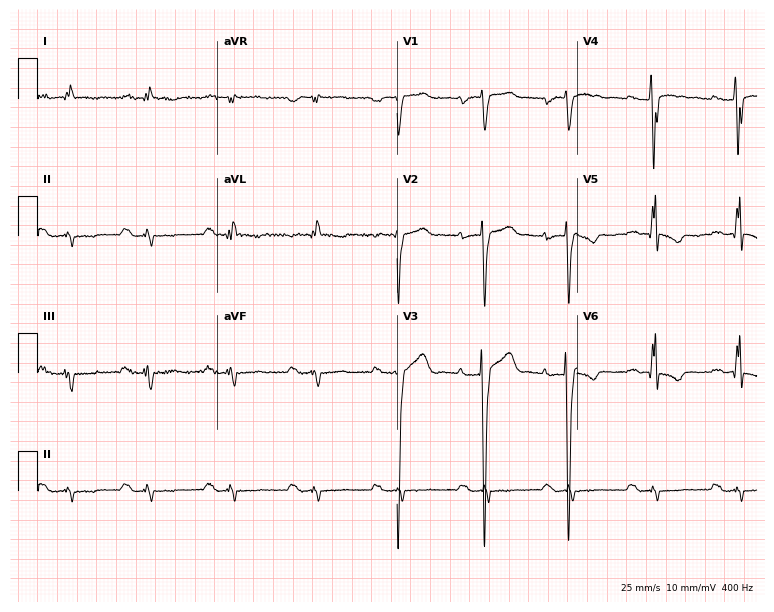
Resting 12-lead electrocardiogram (7.3-second recording at 400 Hz). Patient: a male, 53 years old. None of these six findings is recorded: first-degree AV block, right bundle branch block, left bundle branch block, sinus bradycardia, atrial fibrillation, sinus tachycardia. Only these six findings were labelled.